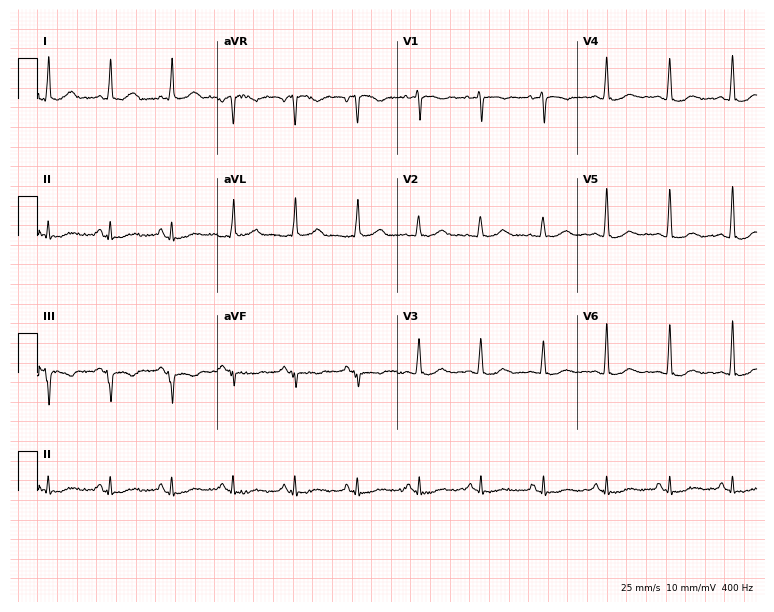
Resting 12-lead electrocardiogram. Patient: a 57-year-old female. None of these six findings is recorded: first-degree AV block, right bundle branch block, left bundle branch block, sinus bradycardia, atrial fibrillation, sinus tachycardia. Other findings, if any, are not listed.